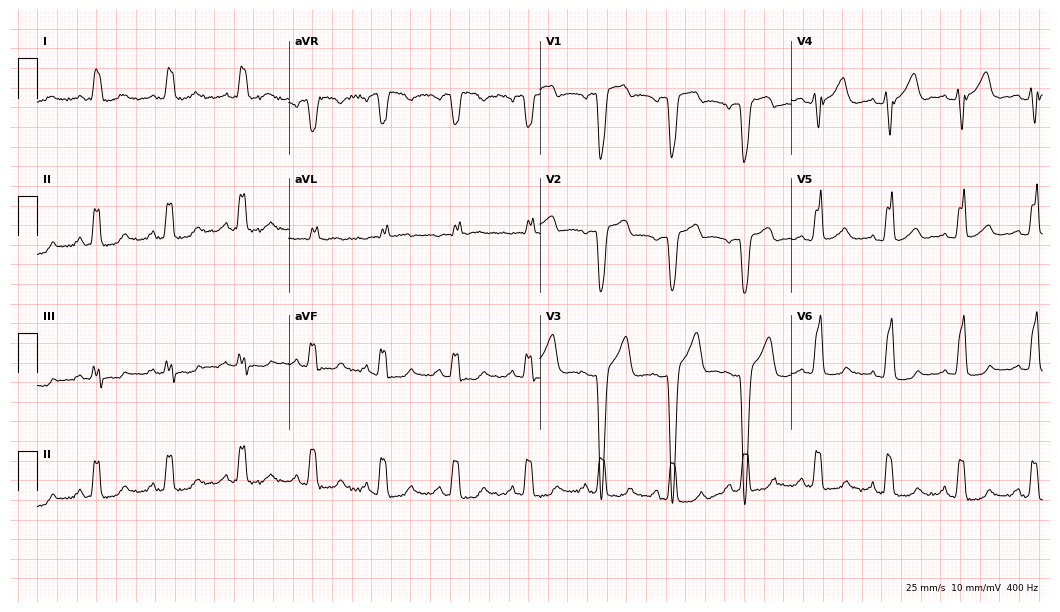
12-lead ECG from a woman, 51 years old. Findings include left bundle branch block (LBBB).